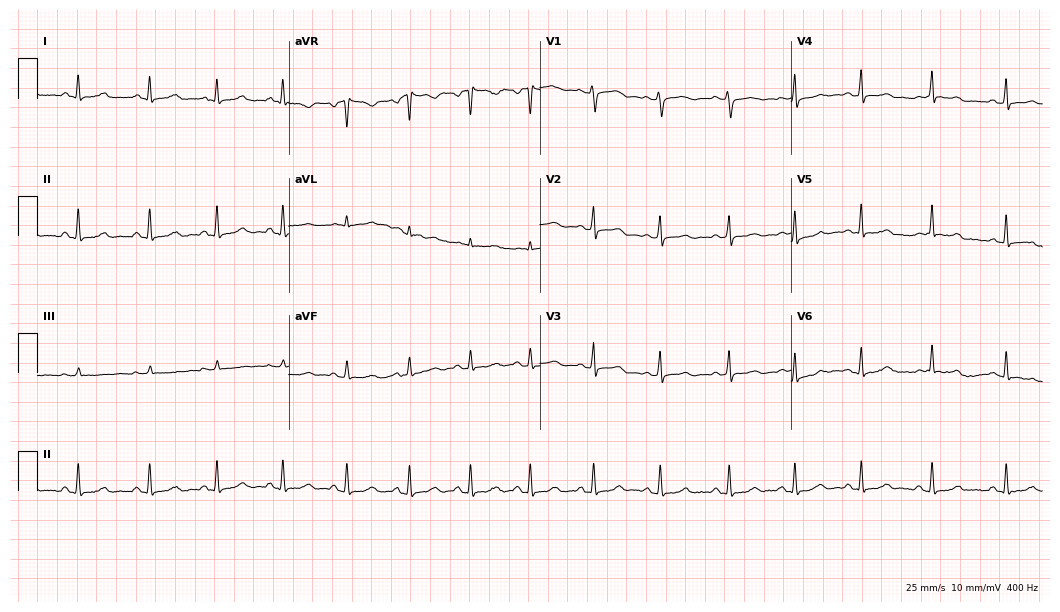
Electrocardiogram (10.2-second recording at 400 Hz), a 30-year-old woman. Overall reading on record: normal ECG.